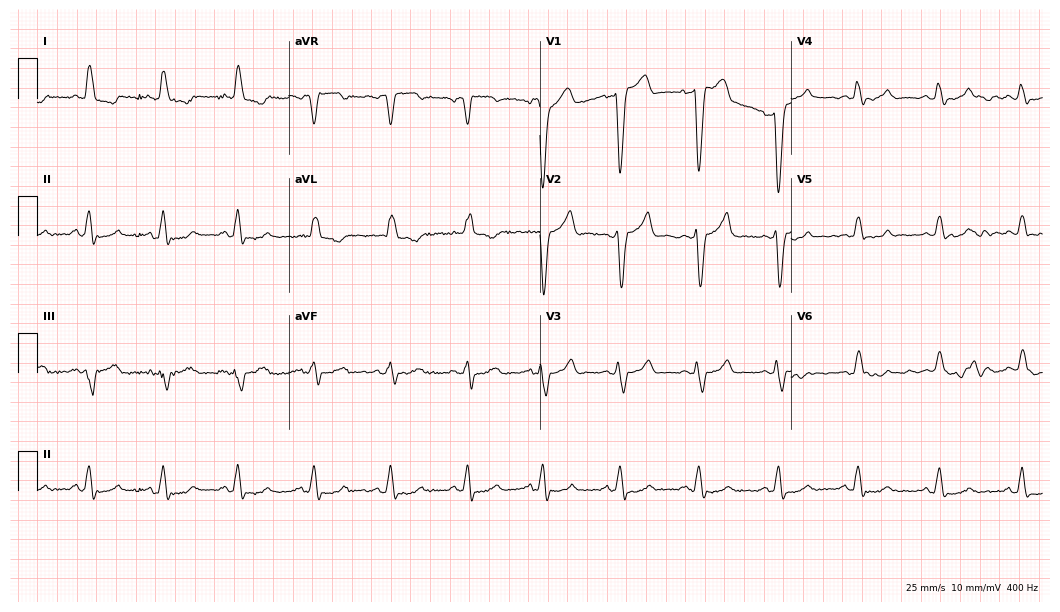
12-lead ECG (10.2-second recording at 400 Hz) from a female patient, 59 years old. Findings include left bundle branch block.